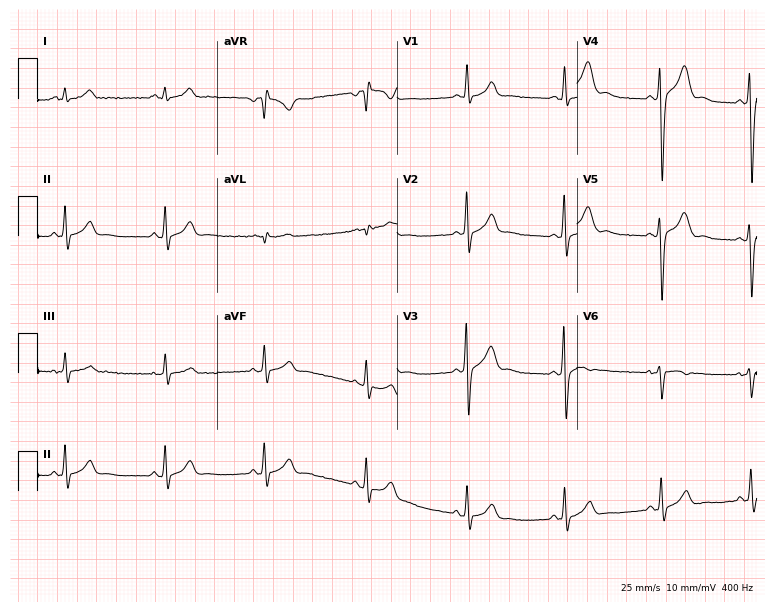
Resting 12-lead electrocardiogram (7.3-second recording at 400 Hz). Patient: an 18-year-old man. None of these six findings is recorded: first-degree AV block, right bundle branch block, left bundle branch block, sinus bradycardia, atrial fibrillation, sinus tachycardia.